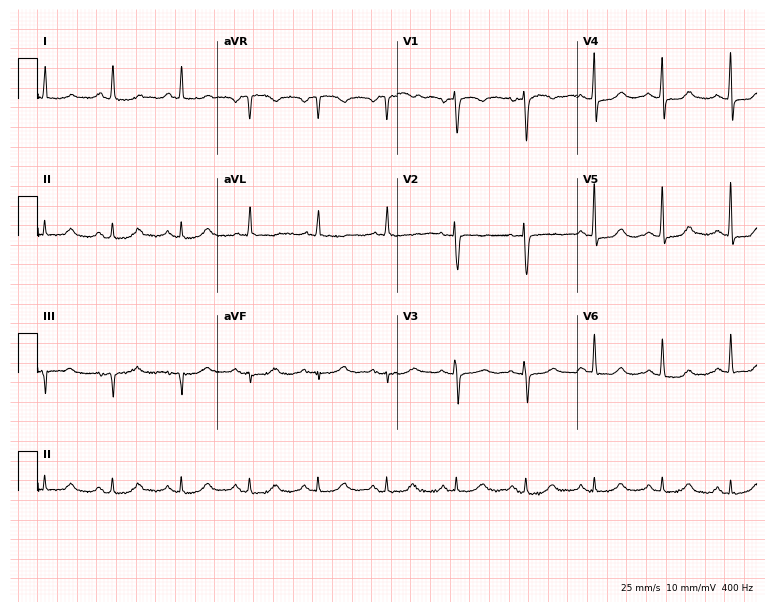
Electrocardiogram (7.3-second recording at 400 Hz), a 78-year-old woman. Of the six screened findings (first-degree AV block, right bundle branch block, left bundle branch block, sinus bradycardia, atrial fibrillation, sinus tachycardia), none is recorded. Findings outside these six are not listed.